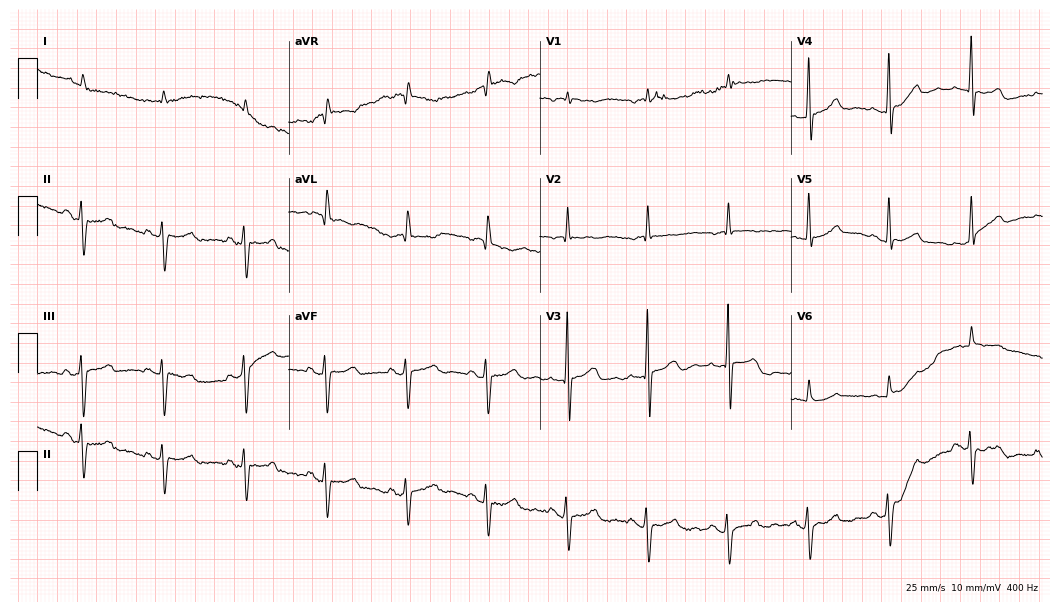
12-lead ECG from a man, 83 years old. No first-degree AV block, right bundle branch block, left bundle branch block, sinus bradycardia, atrial fibrillation or sinus tachycardia recorded for this tracing. Only these six findings were labelled.